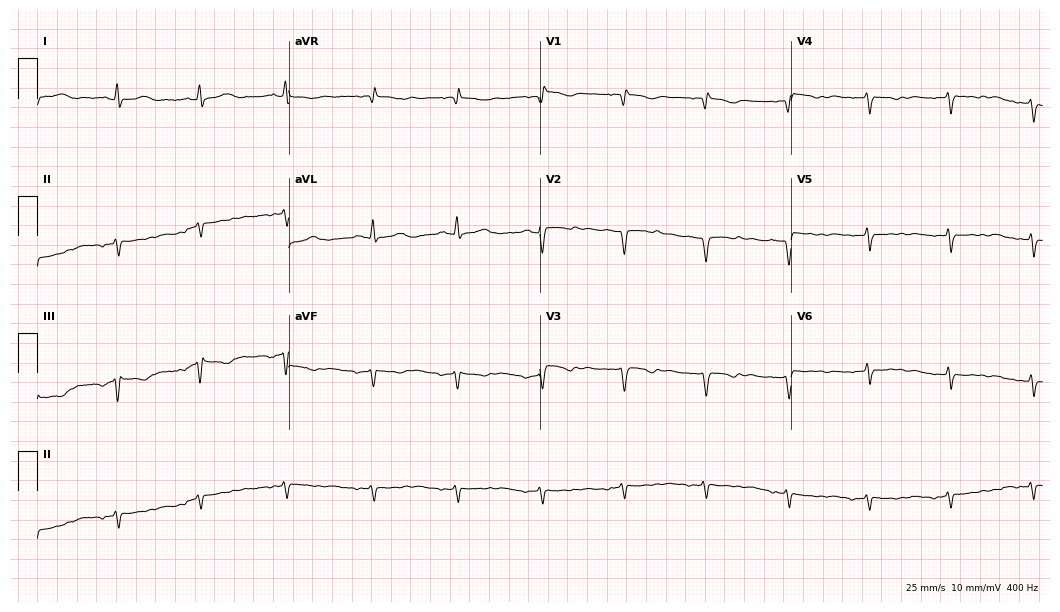
ECG (10.2-second recording at 400 Hz) — a female patient, 44 years old. Screened for six findings — first-degree AV block, right bundle branch block (RBBB), left bundle branch block (LBBB), sinus bradycardia, atrial fibrillation (AF), sinus tachycardia — none is recorded.